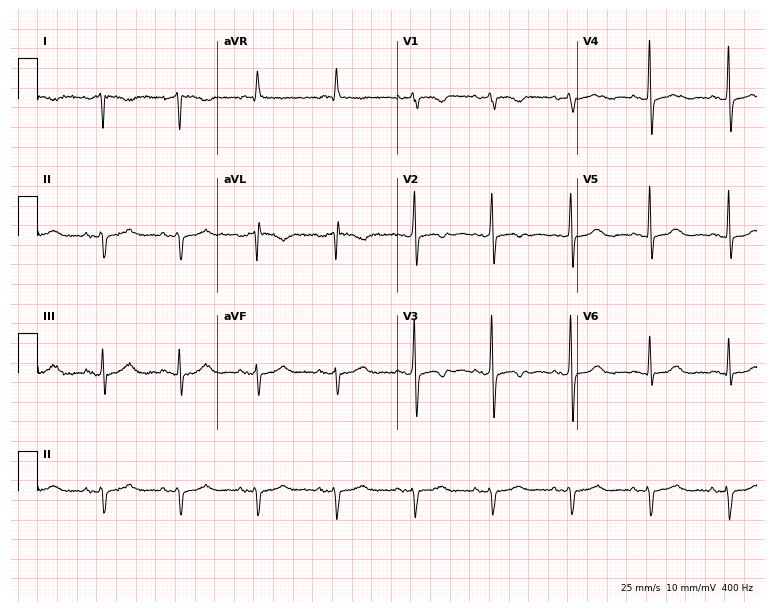
Resting 12-lead electrocardiogram. Patient: an 83-year-old female. Read as a normal ECG.